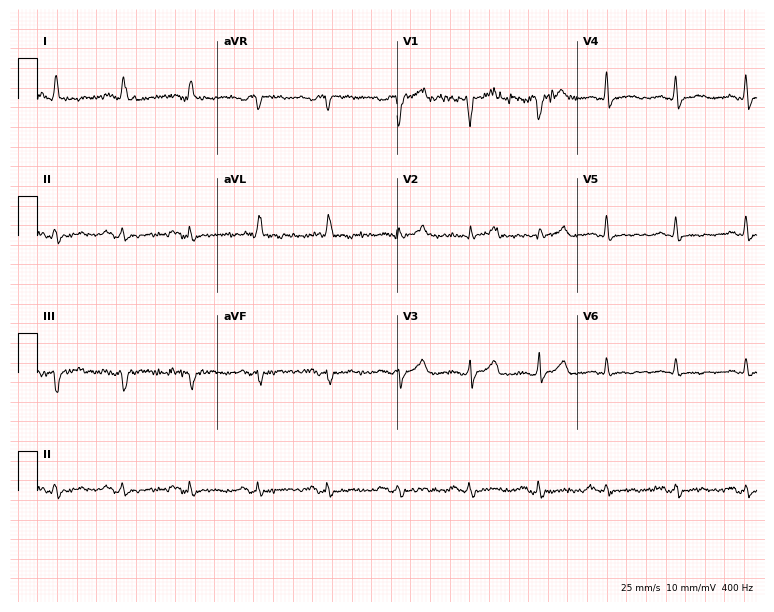
12-lead ECG (7.3-second recording at 400 Hz) from a male patient, 65 years old. Screened for six findings — first-degree AV block, right bundle branch block (RBBB), left bundle branch block (LBBB), sinus bradycardia, atrial fibrillation (AF), sinus tachycardia — none is recorded.